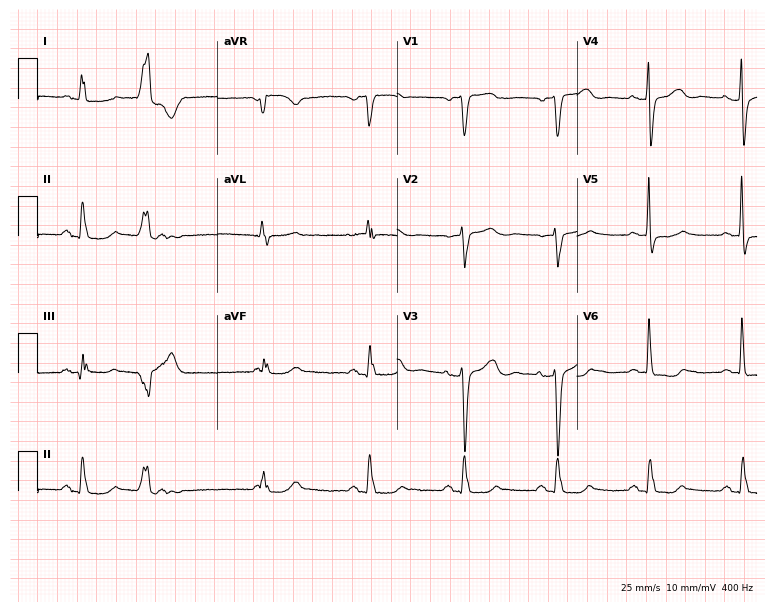
Standard 12-lead ECG recorded from a female patient, 64 years old (7.3-second recording at 400 Hz). None of these six findings is recorded: first-degree AV block, right bundle branch block (RBBB), left bundle branch block (LBBB), sinus bradycardia, atrial fibrillation (AF), sinus tachycardia. Only these six findings were labelled.